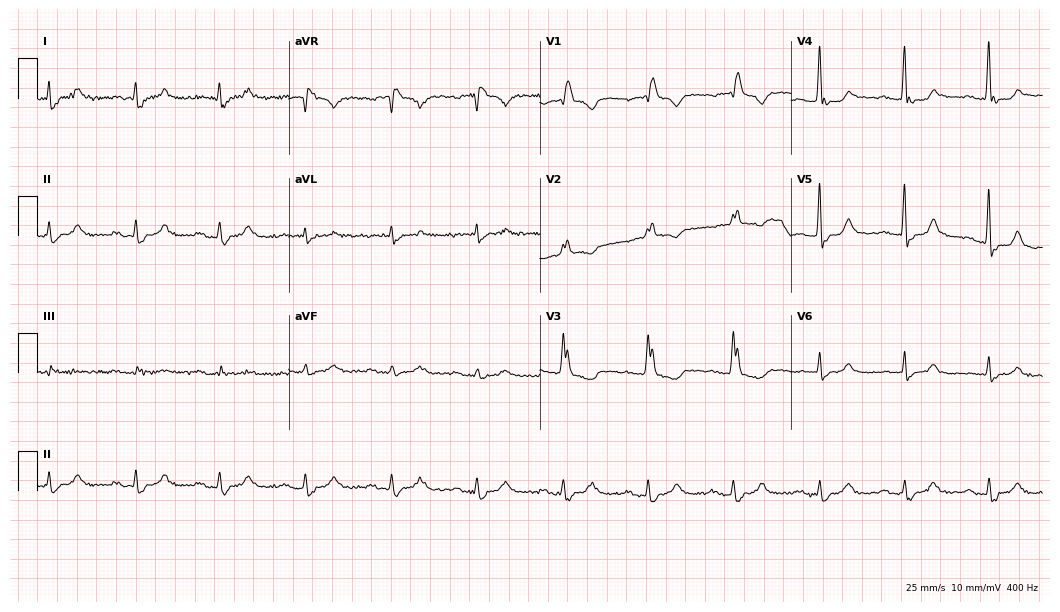
ECG — a 78-year-old female. Findings include right bundle branch block.